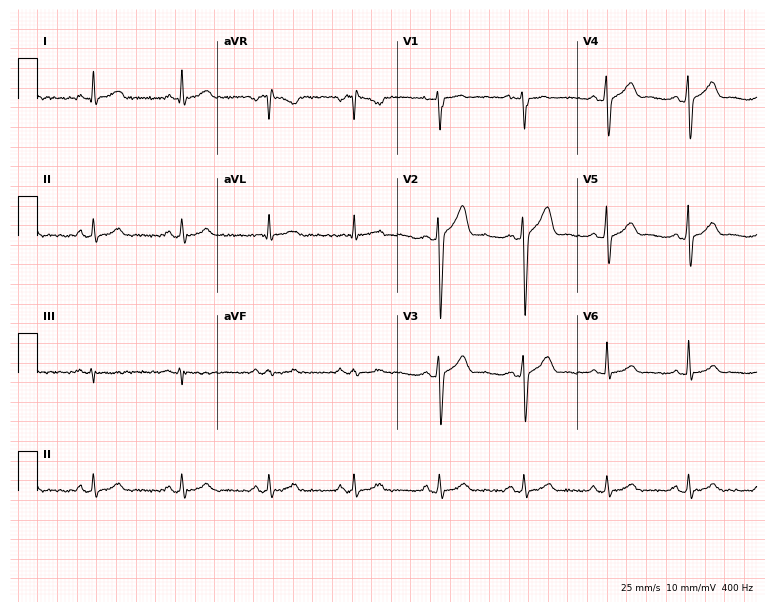
12-lead ECG from a 46-year-old man. No first-degree AV block, right bundle branch block (RBBB), left bundle branch block (LBBB), sinus bradycardia, atrial fibrillation (AF) or sinus tachycardia recorded for this tracing.